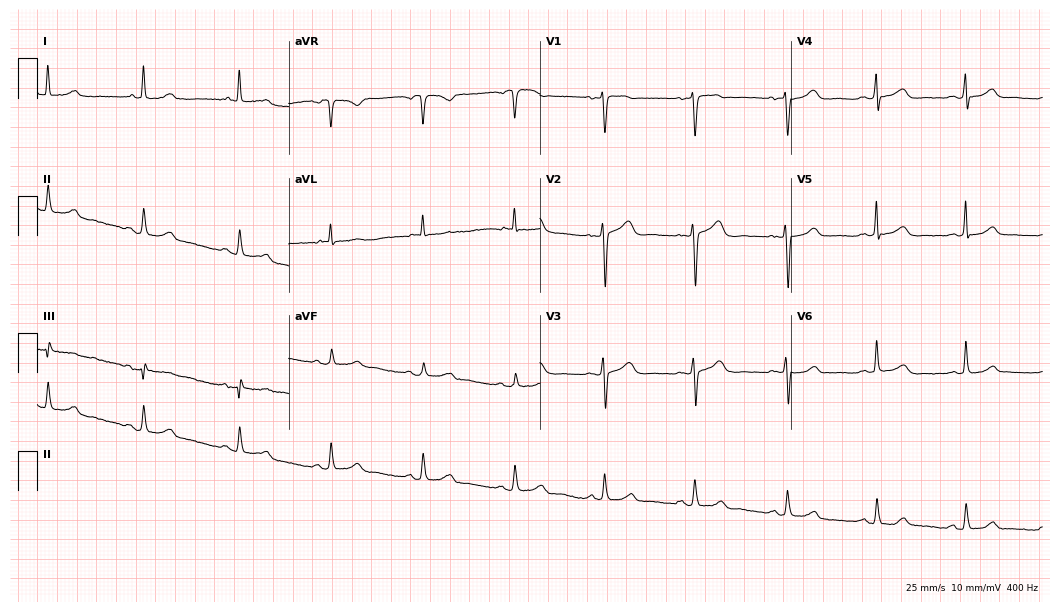
12-lead ECG from a 49-year-old woman. Screened for six findings — first-degree AV block, right bundle branch block, left bundle branch block, sinus bradycardia, atrial fibrillation, sinus tachycardia — none is recorded. Findings outside these six are not listed.